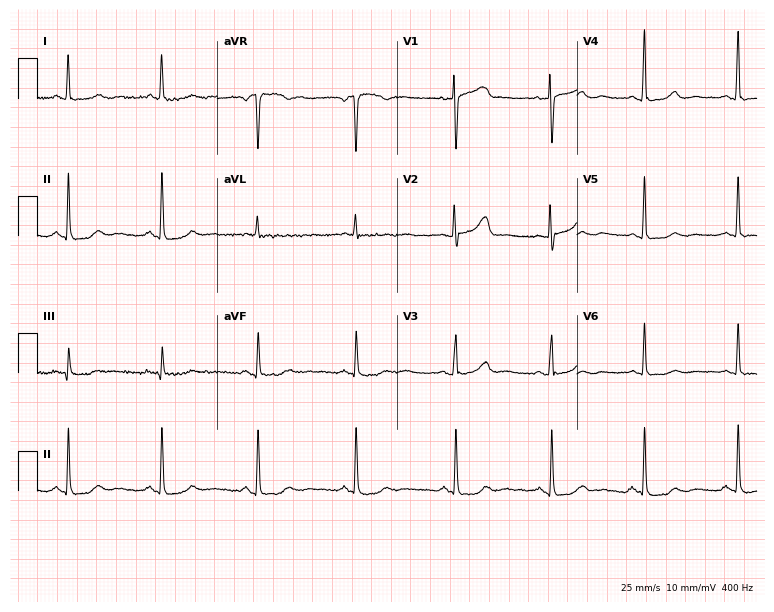
12-lead ECG from a woman, 63 years old (7.3-second recording at 400 Hz). No first-degree AV block, right bundle branch block, left bundle branch block, sinus bradycardia, atrial fibrillation or sinus tachycardia recorded for this tracing.